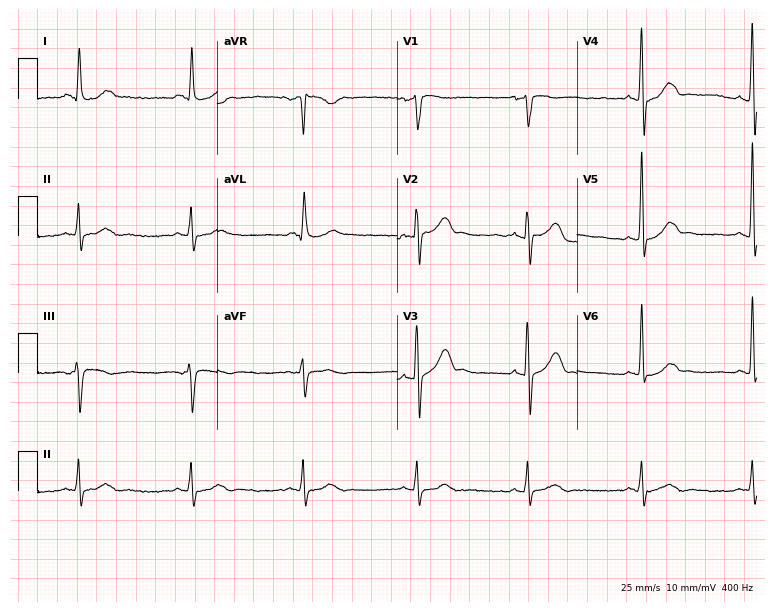
12-lead ECG (7.3-second recording at 400 Hz) from a 61-year-old male patient. Labelled as a normal ECG.